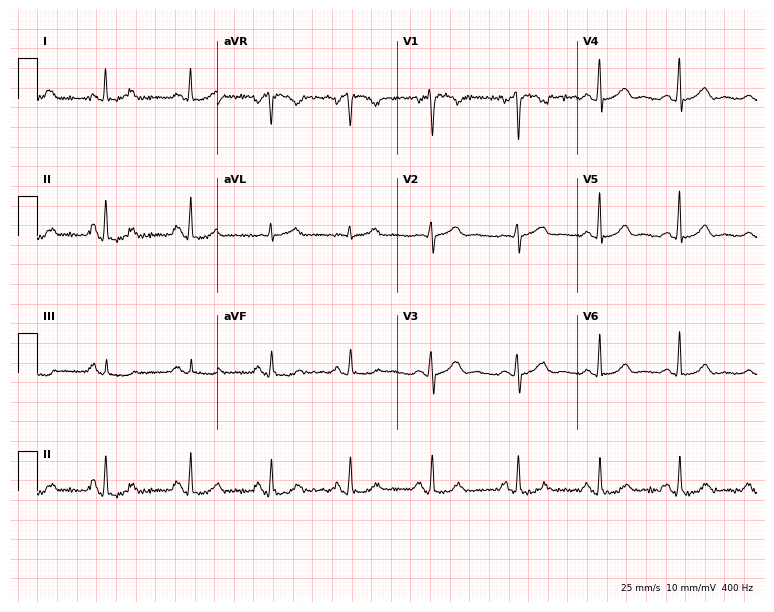
12-lead ECG from a 50-year-old female (7.3-second recording at 400 Hz). Recorded interpretation: within normal limits.